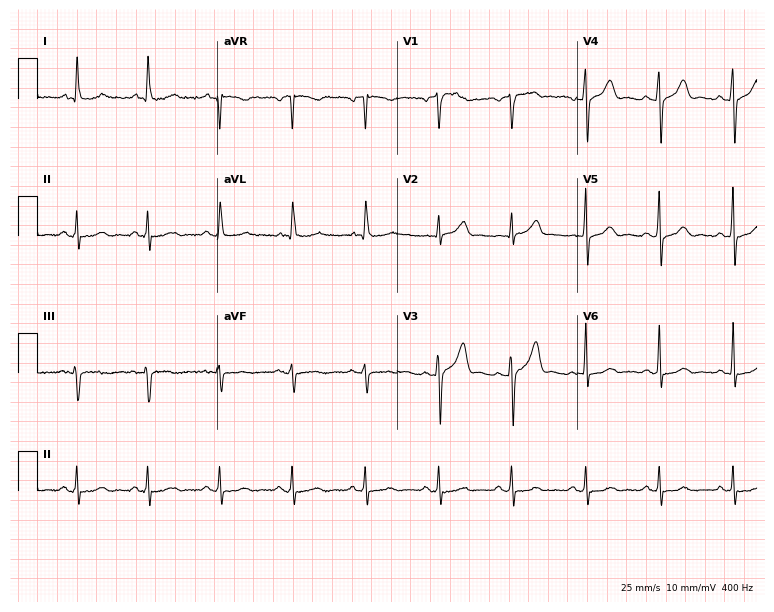
12-lead ECG (7.3-second recording at 400 Hz) from an 80-year-old man. Screened for six findings — first-degree AV block, right bundle branch block, left bundle branch block, sinus bradycardia, atrial fibrillation, sinus tachycardia — none is recorded.